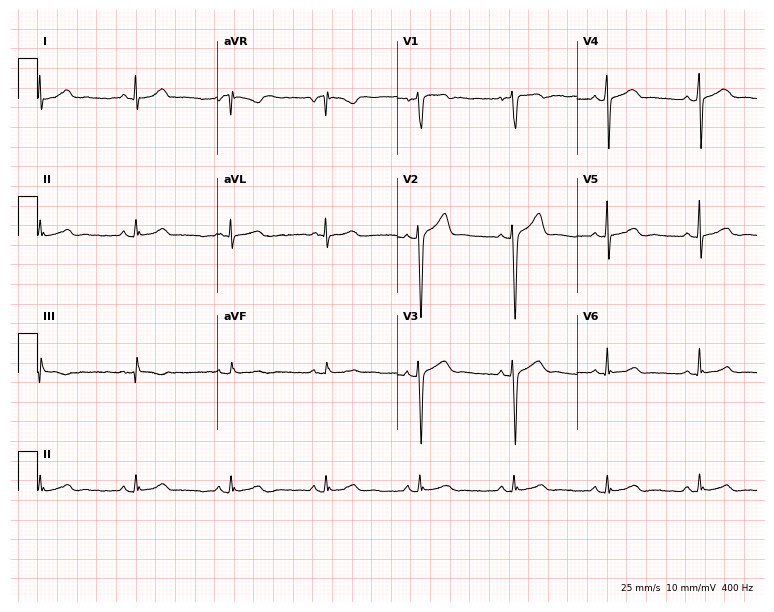
Standard 12-lead ECG recorded from a 35-year-old man. Read as a normal ECG.